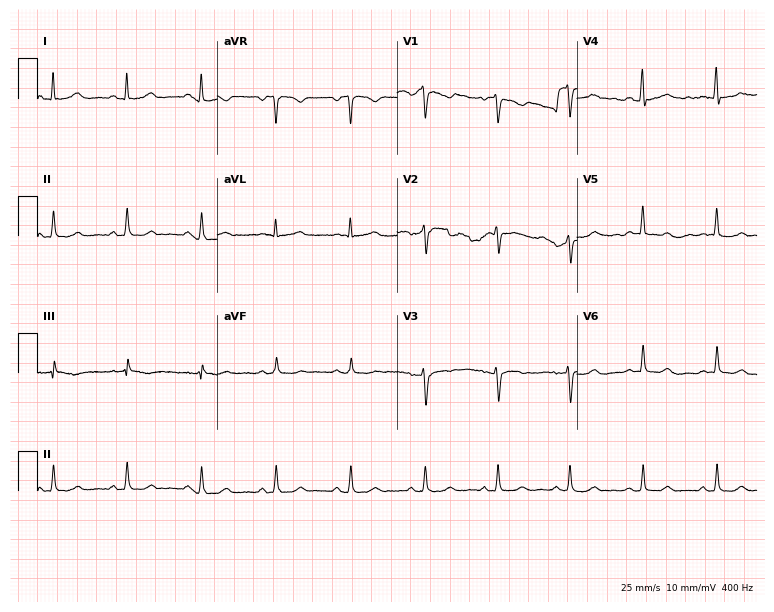
Electrocardiogram (7.3-second recording at 400 Hz), a 49-year-old woman. Of the six screened findings (first-degree AV block, right bundle branch block, left bundle branch block, sinus bradycardia, atrial fibrillation, sinus tachycardia), none is recorded.